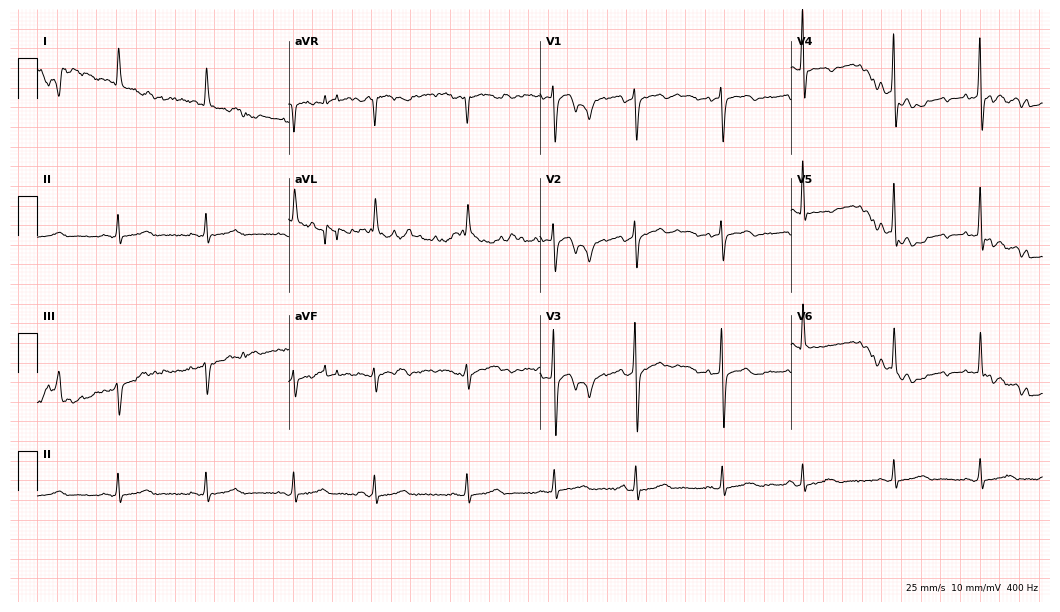
12-lead ECG from a female, 85 years old. Screened for six findings — first-degree AV block, right bundle branch block, left bundle branch block, sinus bradycardia, atrial fibrillation, sinus tachycardia — none is recorded.